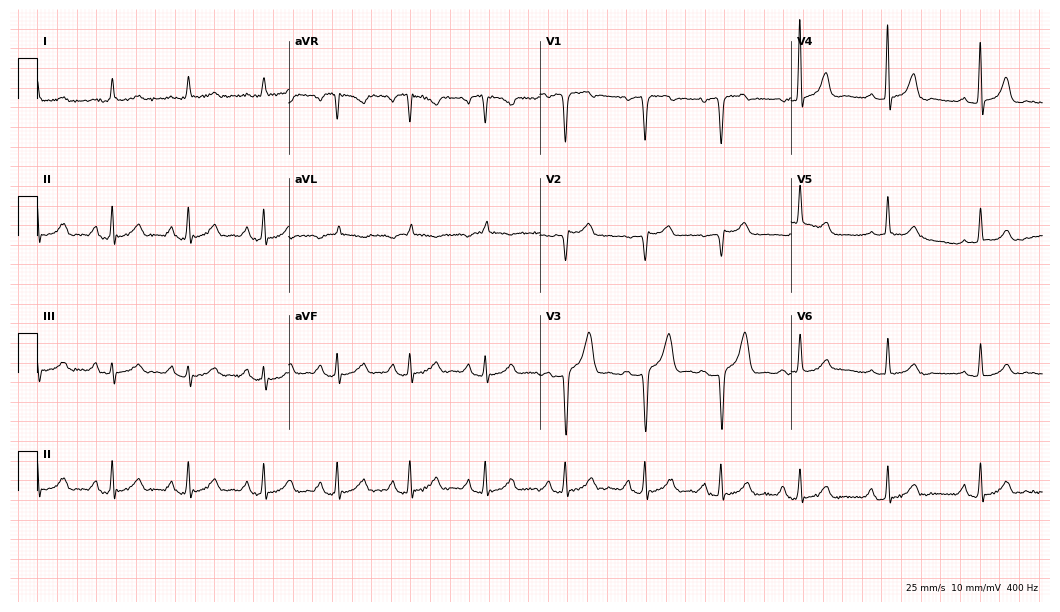
Standard 12-lead ECG recorded from a male, 65 years old. None of these six findings is recorded: first-degree AV block, right bundle branch block, left bundle branch block, sinus bradycardia, atrial fibrillation, sinus tachycardia. Findings outside these six are not listed.